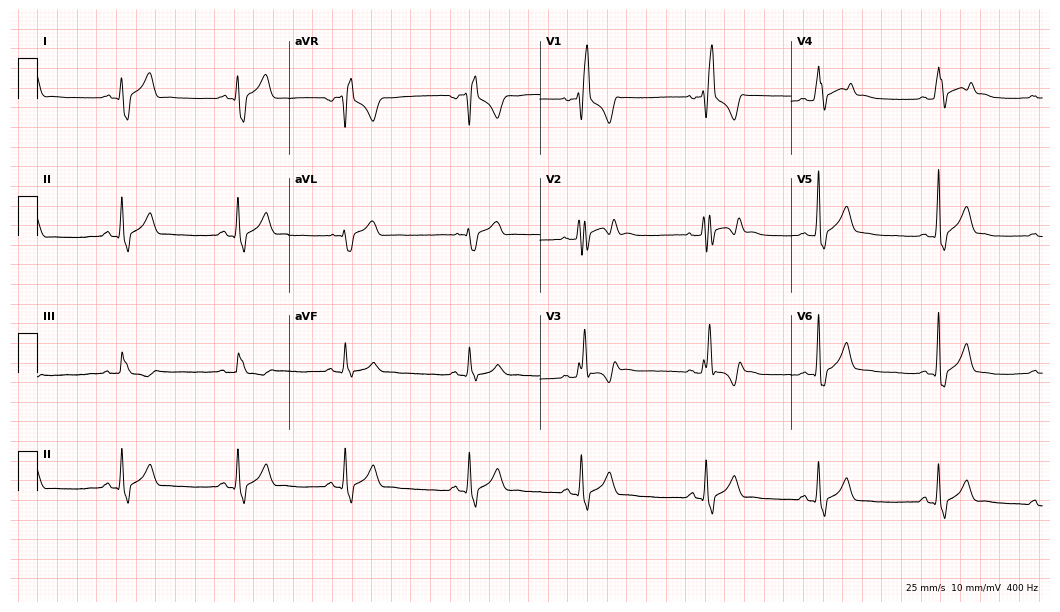
Resting 12-lead electrocardiogram (10.2-second recording at 400 Hz). Patient: a male, 18 years old. The tracing shows right bundle branch block.